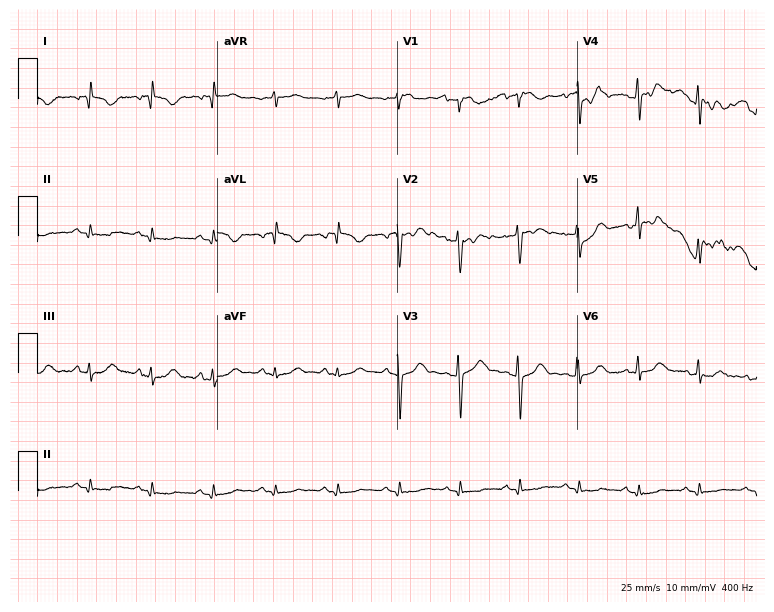
Standard 12-lead ECG recorded from a 45-year-old female patient. None of these six findings is recorded: first-degree AV block, right bundle branch block (RBBB), left bundle branch block (LBBB), sinus bradycardia, atrial fibrillation (AF), sinus tachycardia.